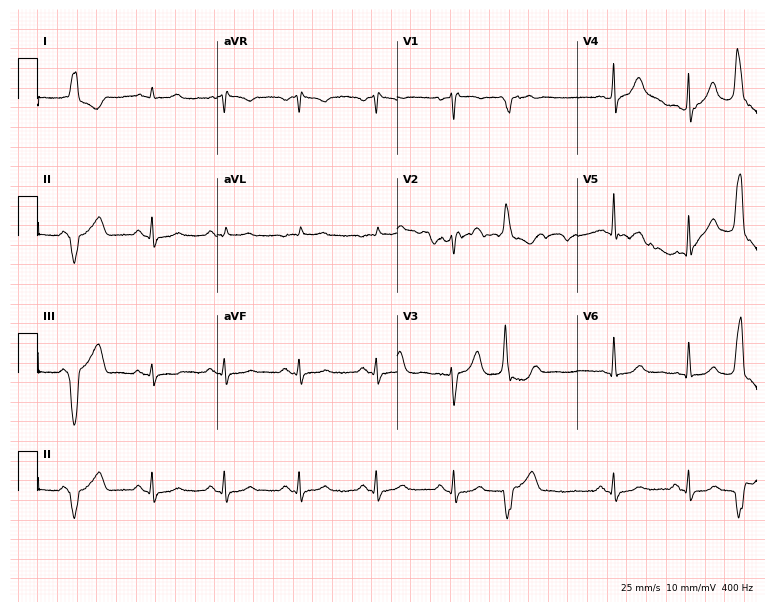
Electrocardiogram (7.3-second recording at 400 Hz), a 57-year-old man. Of the six screened findings (first-degree AV block, right bundle branch block, left bundle branch block, sinus bradycardia, atrial fibrillation, sinus tachycardia), none is recorded. Other findings, if any, are not listed.